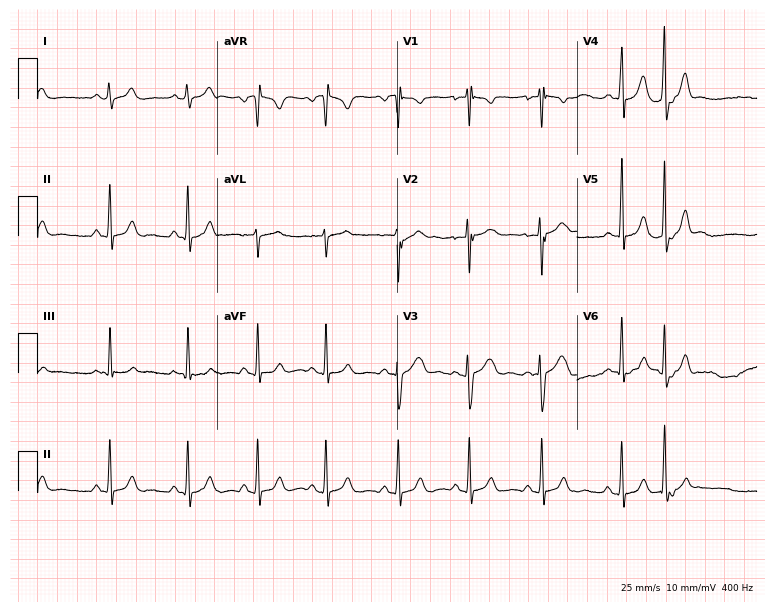
12-lead ECG from a 20-year-old woman. No first-degree AV block, right bundle branch block, left bundle branch block, sinus bradycardia, atrial fibrillation or sinus tachycardia recorded for this tracing. Findings outside these six are not listed.